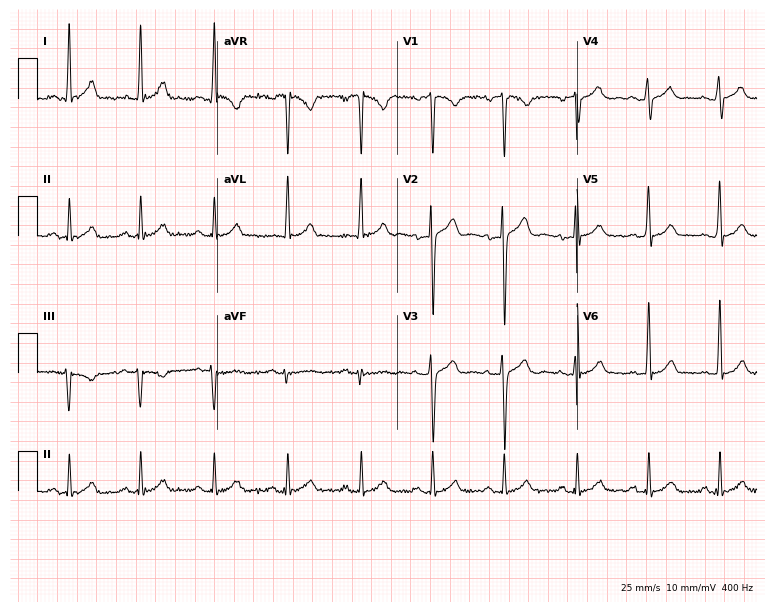
ECG (7.3-second recording at 400 Hz) — a man, 27 years old. Labelled as a normal ECG.